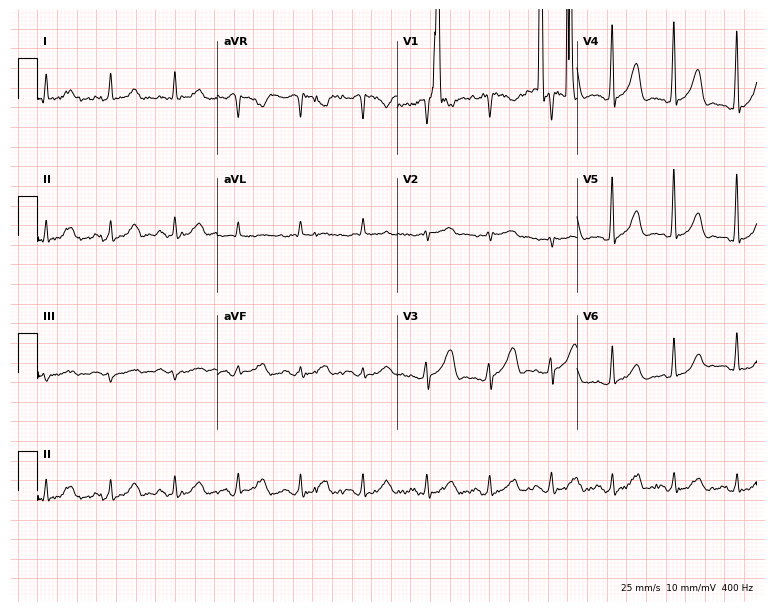
Standard 12-lead ECG recorded from a man, 64 years old (7.3-second recording at 400 Hz). None of these six findings is recorded: first-degree AV block, right bundle branch block, left bundle branch block, sinus bradycardia, atrial fibrillation, sinus tachycardia.